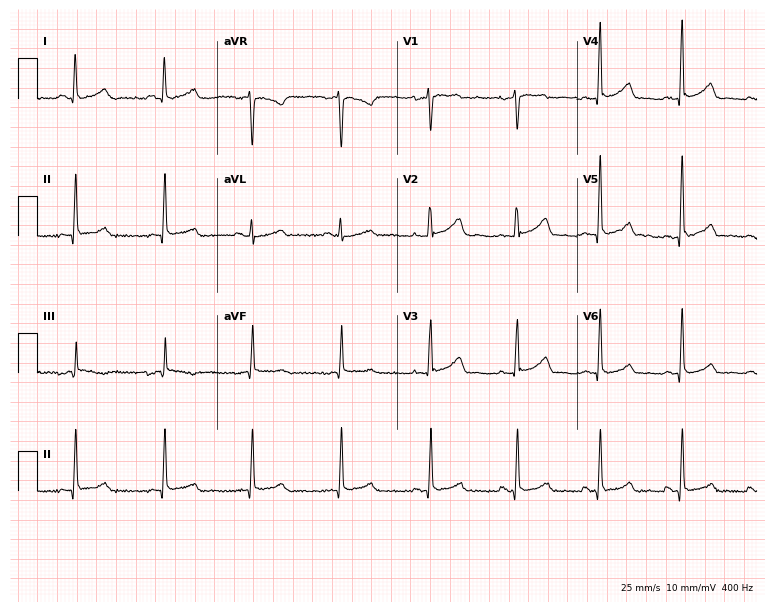
Electrocardiogram, a female, 59 years old. Of the six screened findings (first-degree AV block, right bundle branch block (RBBB), left bundle branch block (LBBB), sinus bradycardia, atrial fibrillation (AF), sinus tachycardia), none is recorded. Other findings, if any, are not listed.